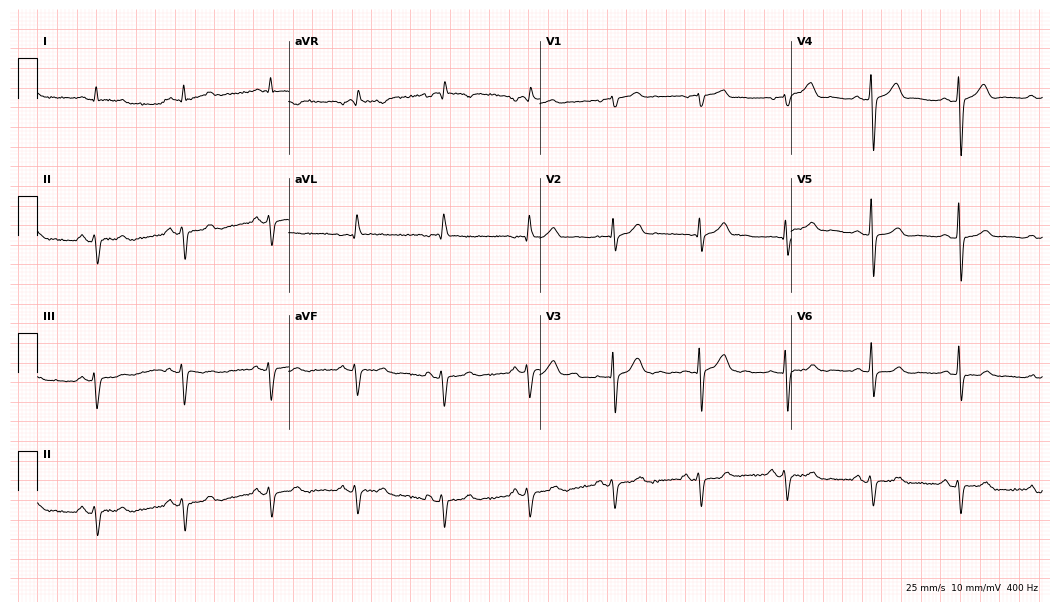
Electrocardiogram (10.2-second recording at 400 Hz), a 70-year-old male. Of the six screened findings (first-degree AV block, right bundle branch block, left bundle branch block, sinus bradycardia, atrial fibrillation, sinus tachycardia), none is recorded.